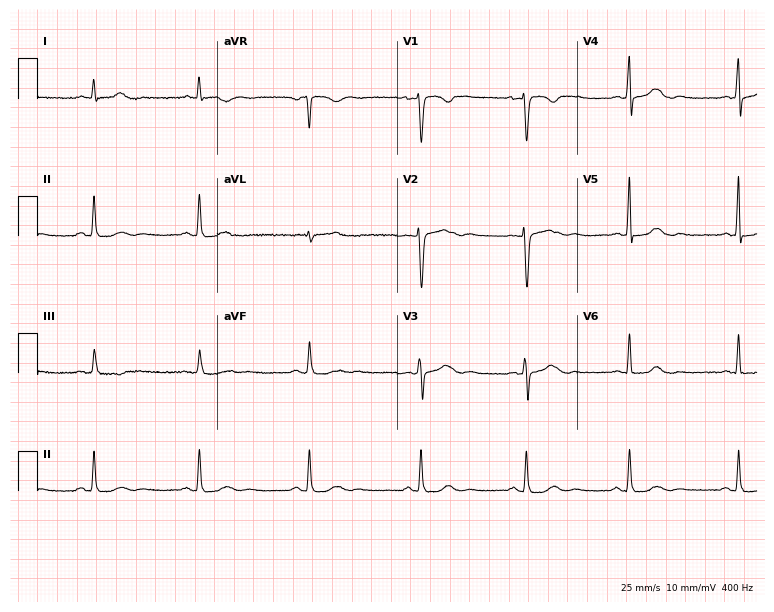
Resting 12-lead electrocardiogram (7.3-second recording at 400 Hz). Patient: a 36-year-old female. Read as a normal ECG.